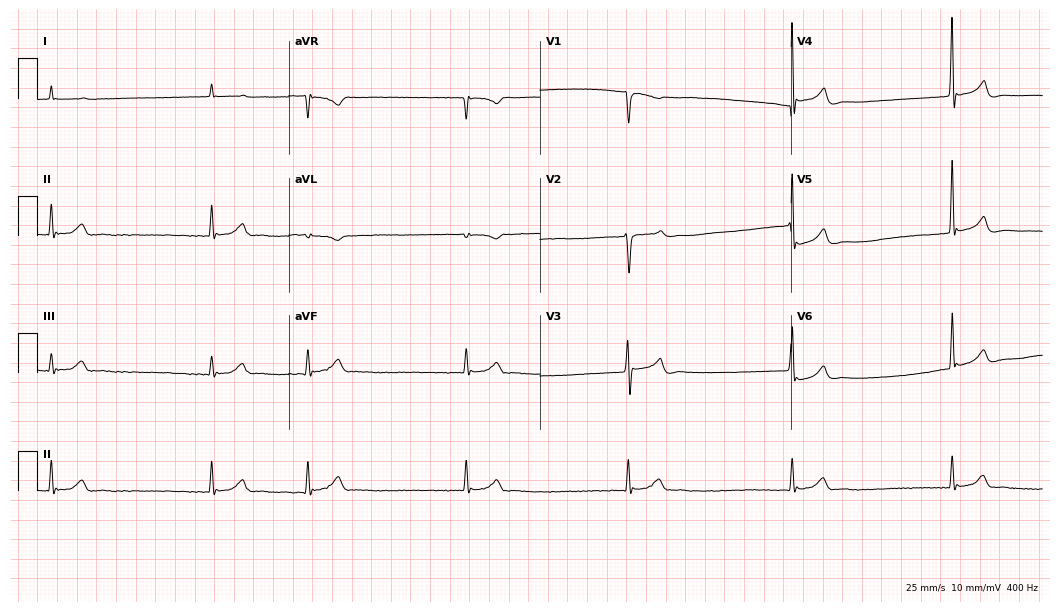
Standard 12-lead ECG recorded from a 55-year-old man. The tracing shows atrial fibrillation (AF).